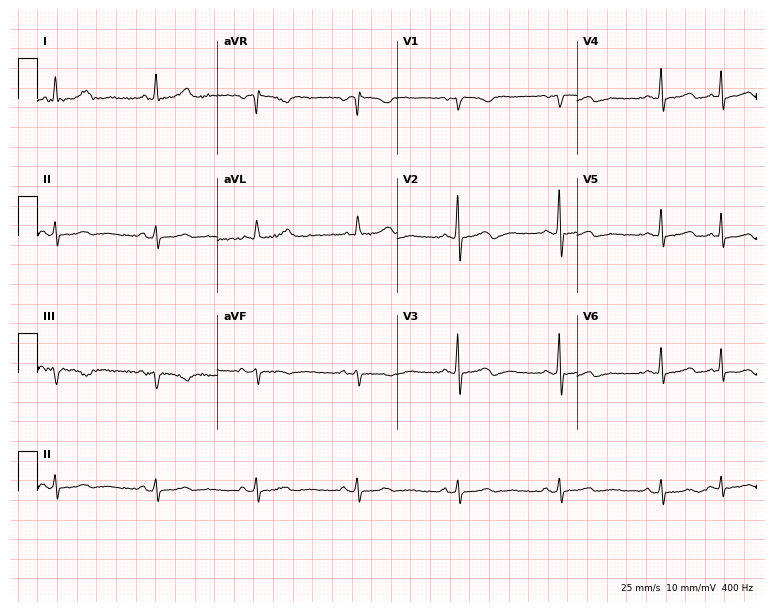
Standard 12-lead ECG recorded from an 83-year-old female patient (7.3-second recording at 400 Hz). None of these six findings is recorded: first-degree AV block, right bundle branch block, left bundle branch block, sinus bradycardia, atrial fibrillation, sinus tachycardia. Only these six findings were labelled.